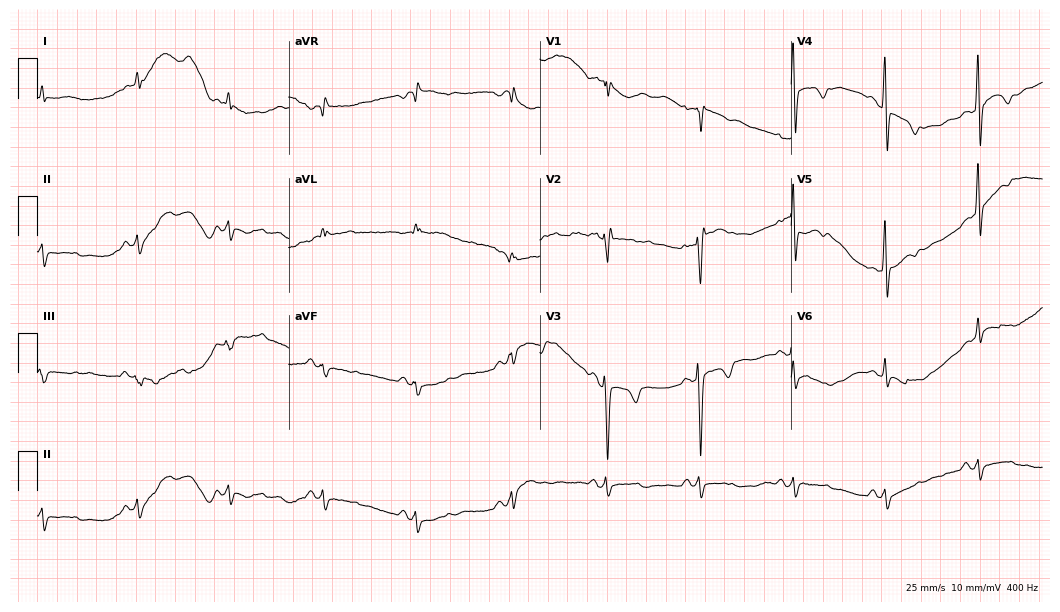
Standard 12-lead ECG recorded from an 80-year-old female. None of these six findings is recorded: first-degree AV block, right bundle branch block, left bundle branch block, sinus bradycardia, atrial fibrillation, sinus tachycardia. Only these six findings were labelled.